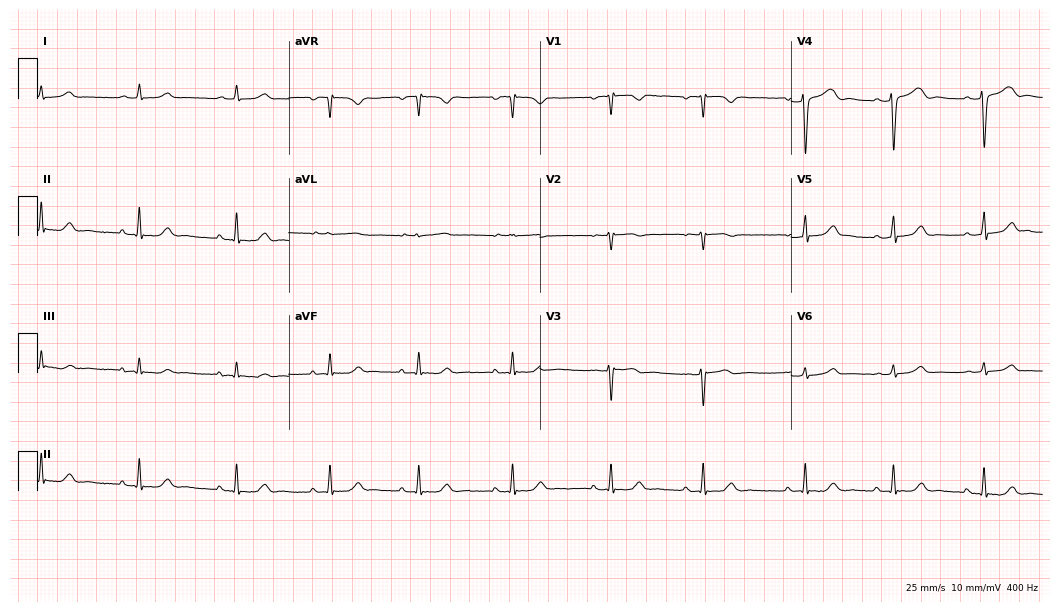
ECG (10.2-second recording at 400 Hz) — a 26-year-old female patient. Labelled as a normal ECG.